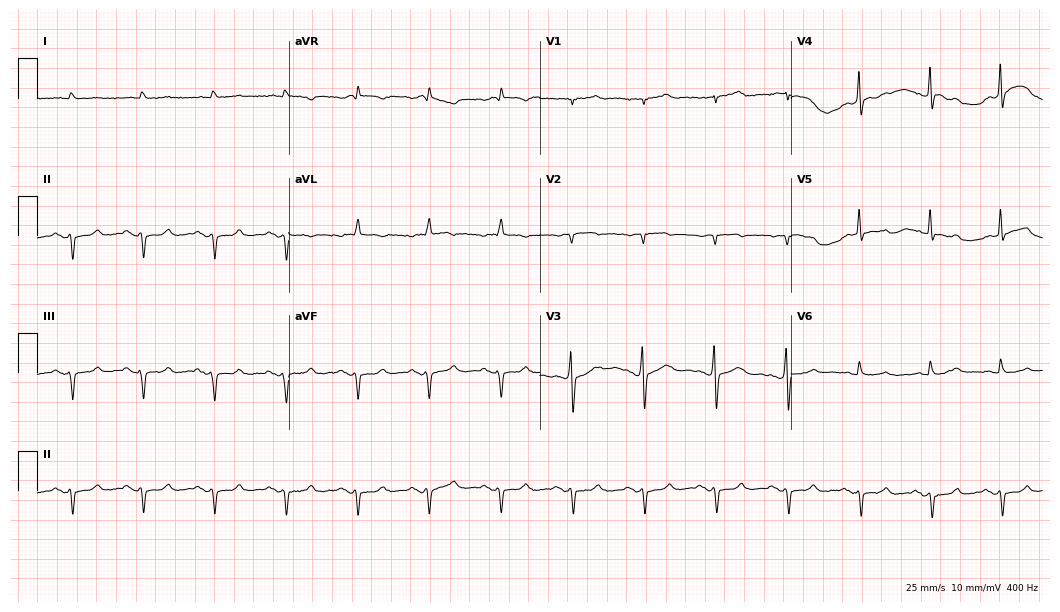
12-lead ECG (10.2-second recording at 400 Hz) from a male patient, 74 years old. Screened for six findings — first-degree AV block, right bundle branch block, left bundle branch block, sinus bradycardia, atrial fibrillation, sinus tachycardia — none is recorded. Only these six findings were labelled.